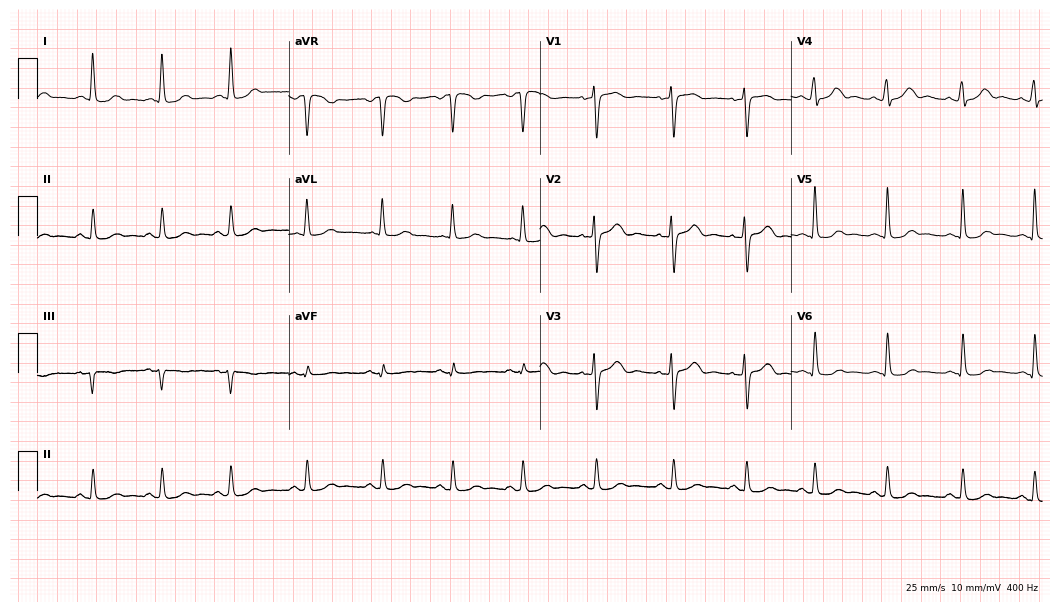
ECG (10.2-second recording at 400 Hz) — a 40-year-old female. Labelled as a normal ECG.